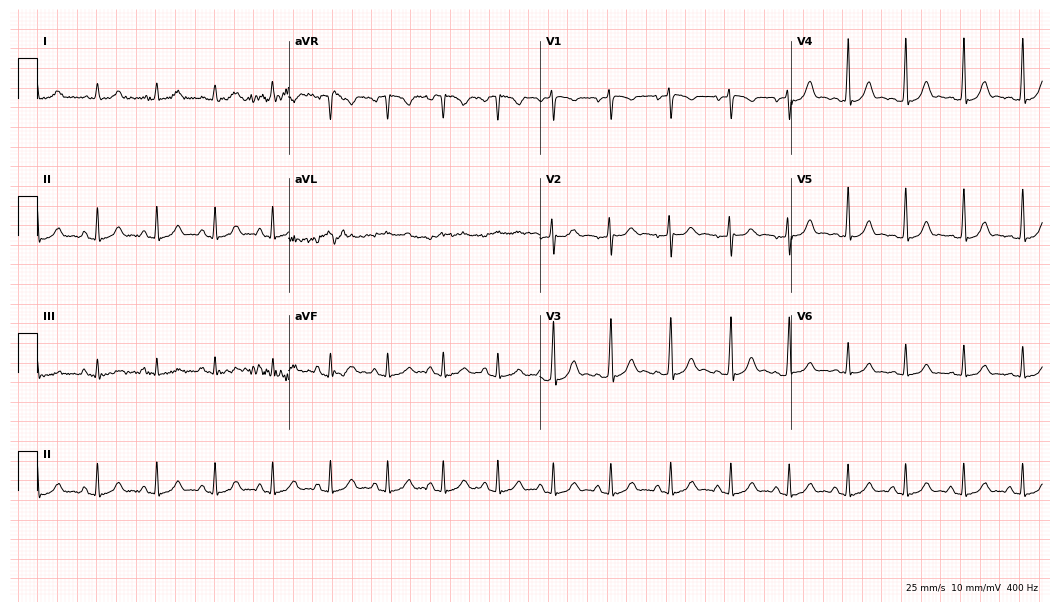
Electrocardiogram, a 17-year-old woman. Overall reading on record: normal ECG.